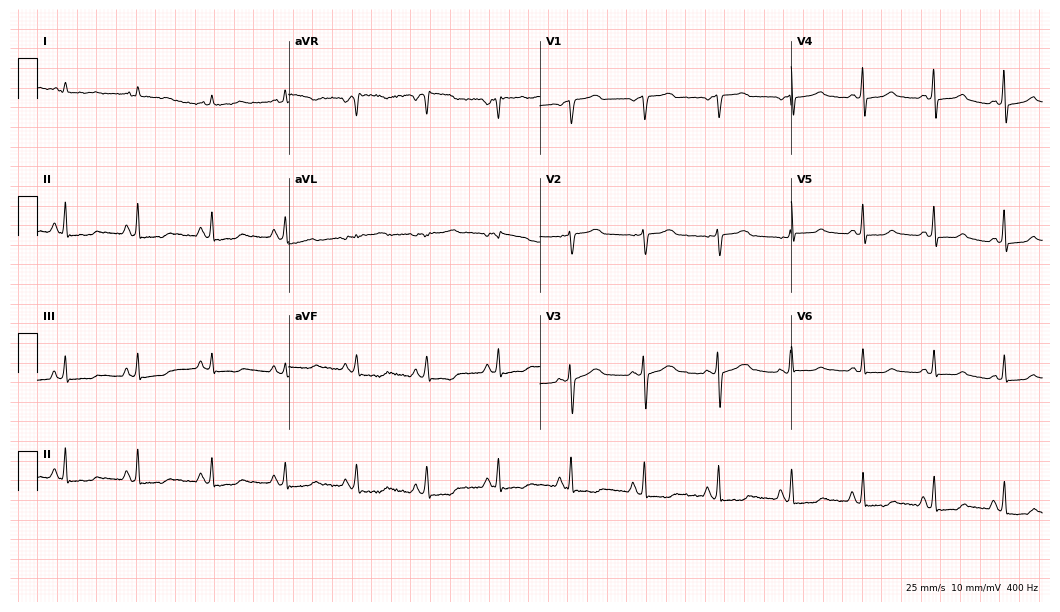
Resting 12-lead electrocardiogram (10.2-second recording at 400 Hz). Patient: a female, 57 years old. None of these six findings is recorded: first-degree AV block, right bundle branch block, left bundle branch block, sinus bradycardia, atrial fibrillation, sinus tachycardia. Findings outside these six are not listed.